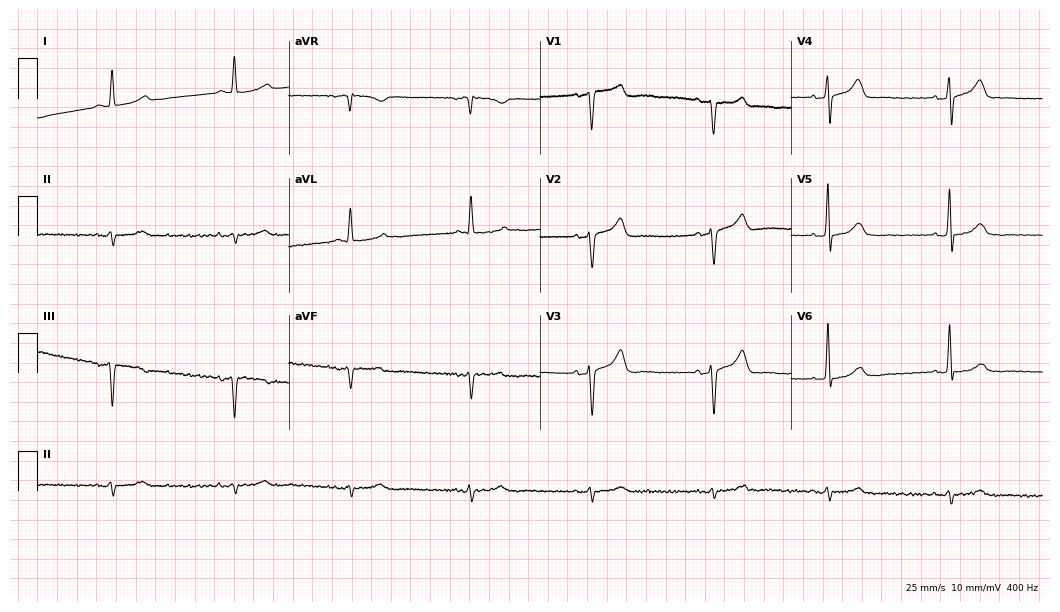
Resting 12-lead electrocardiogram (10.2-second recording at 400 Hz). Patient: a female, 81 years old. Read as a normal ECG.